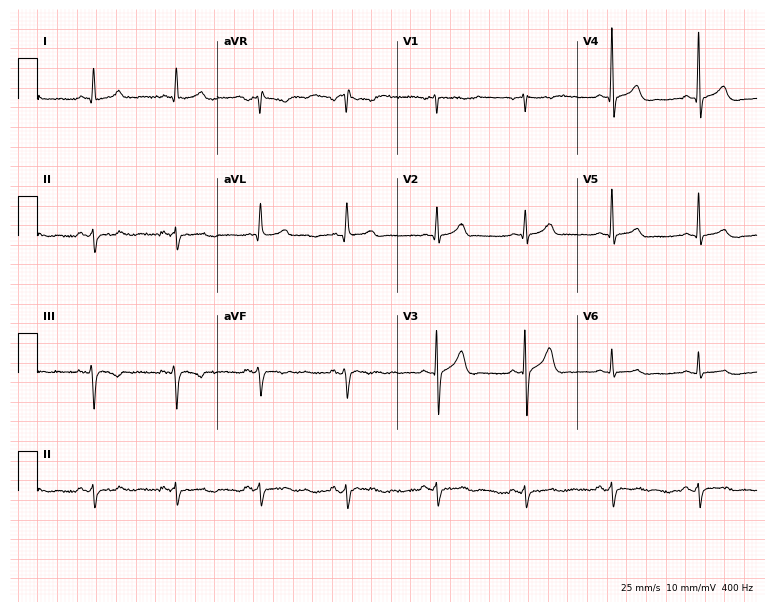
12-lead ECG (7.3-second recording at 400 Hz) from a 44-year-old male patient. Screened for six findings — first-degree AV block, right bundle branch block (RBBB), left bundle branch block (LBBB), sinus bradycardia, atrial fibrillation (AF), sinus tachycardia — none is recorded.